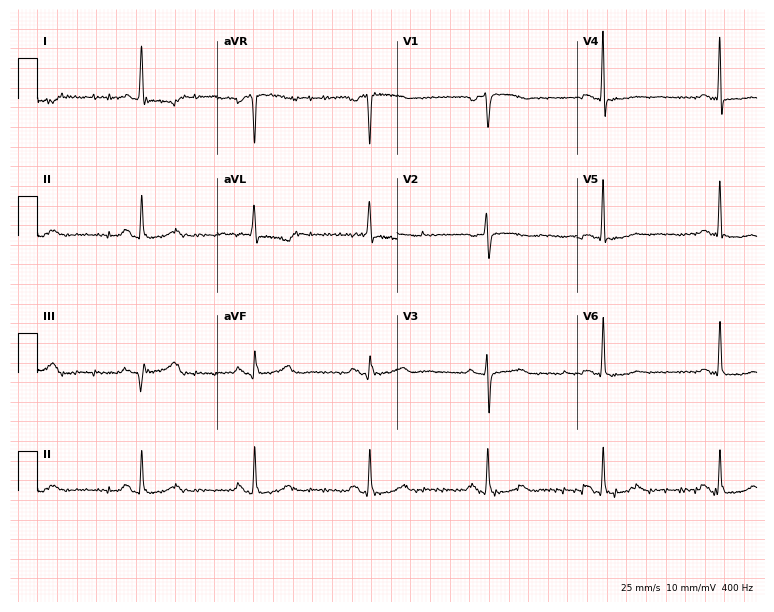
12-lead ECG from a female patient, 70 years old. Findings include sinus bradycardia (a sinus rate of 50 beats per minute or less).